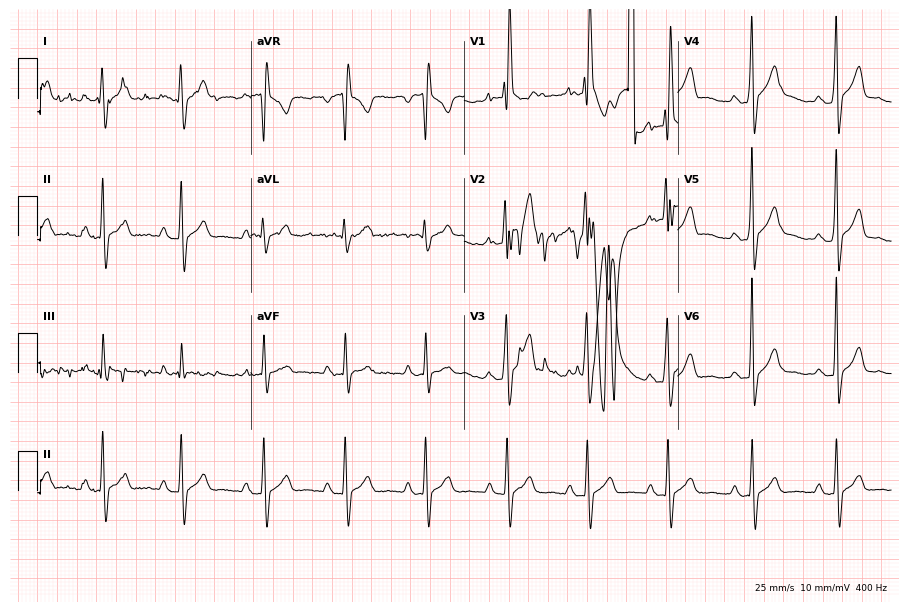
Resting 12-lead electrocardiogram. Patient: a 25-year-old man. None of these six findings is recorded: first-degree AV block, right bundle branch block (RBBB), left bundle branch block (LBBB), sinus bradycardia, atrial fibrillation (AF), sinus tachycardia. Other findings, if any, are not listed.